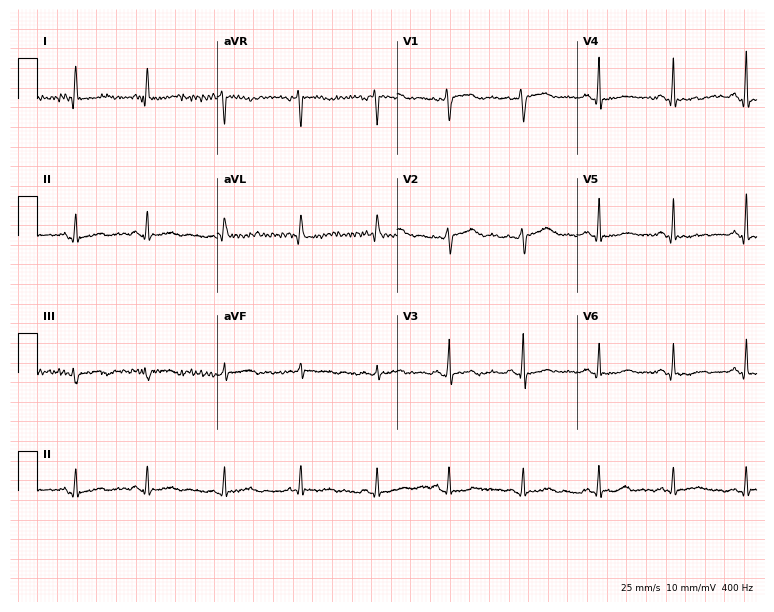
ECG (7.3-second recording at 400 Hz) — a female patient, 55 years old. Labelled as a normal ECG.